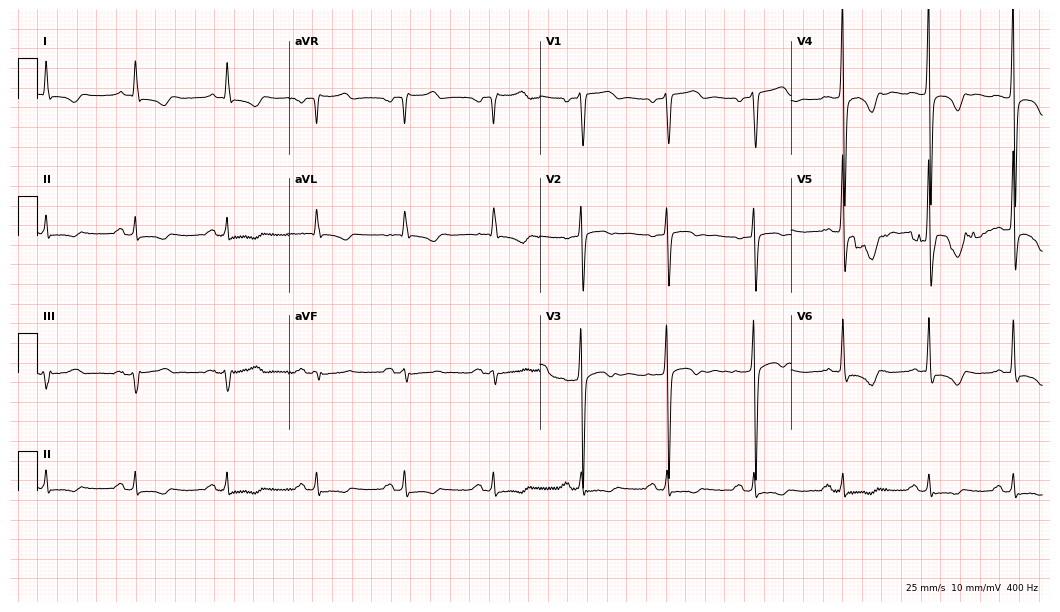
Standard 12-lead ECG recorded from a 65-year-old male. None of these six findings is recorded: first-degree AV block, right bundle branch block (RBBB), left bundle branch block (LBBB), sinus bradycardia, atrial fibrillation (AF), sinus tachycardia.